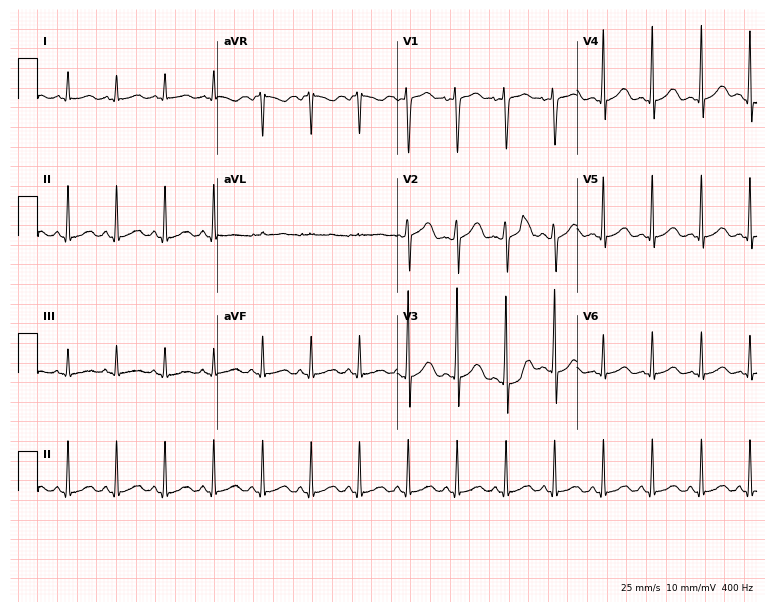
Standard 12-lead ECG recorded from a 33-year-old female patient (7.3-second recording at 400 Hz). The tracing shows sinus tachycardia (a sinus rate of 100 beats per minute or more).